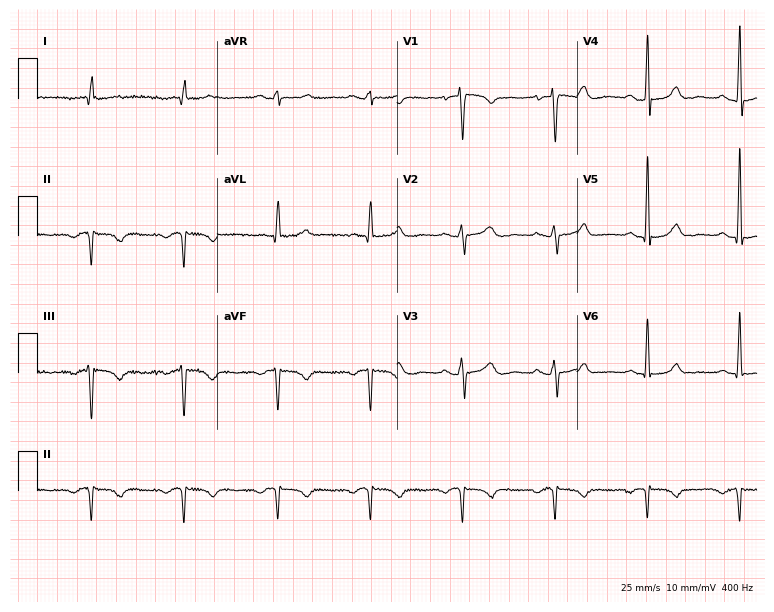
Electrocardiogram (7.3-second recording at 400 Hz), a female, 66 years old. Of the six screened findings (first-degree AV block, right bundle branch block (RBBB), left bundle branch block (LBBB), sinus bradycardia, atrial fibrillation (AF), sinus tachycardia), none is recorded. Only these six findings were labelled.